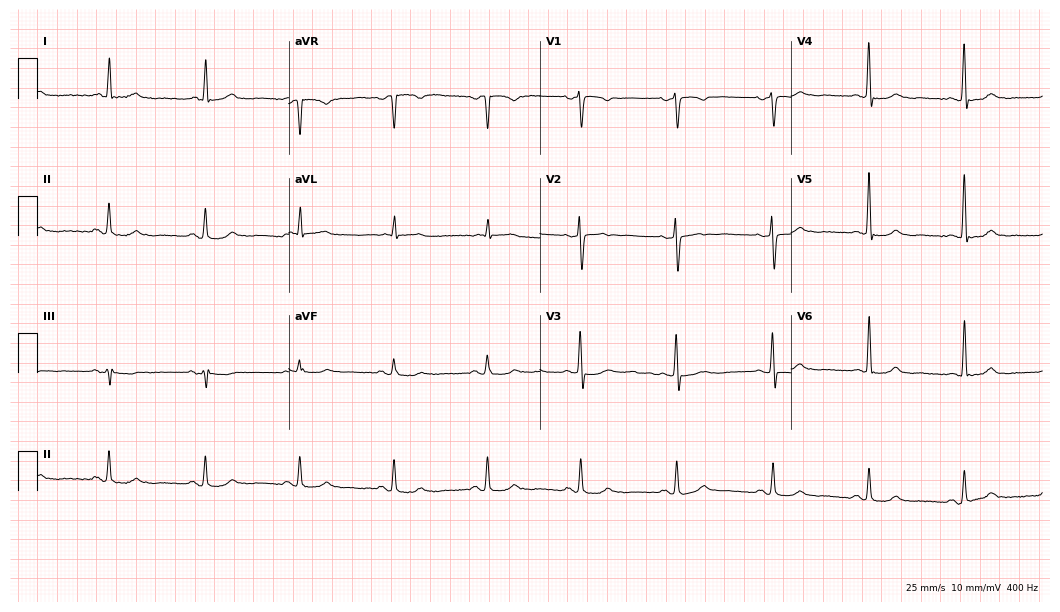
ECG (10.2-second recording at 400 Hz) — a 78-year-old female patient. Screened for six findings — first-degree AV block, right bundle branch block (RBBB), left bundle branch block (LBBB), sinus bradycardia, atrial fibrillation (AF), sinus tachycardia — none is recorded. Only these six findings were labelled.